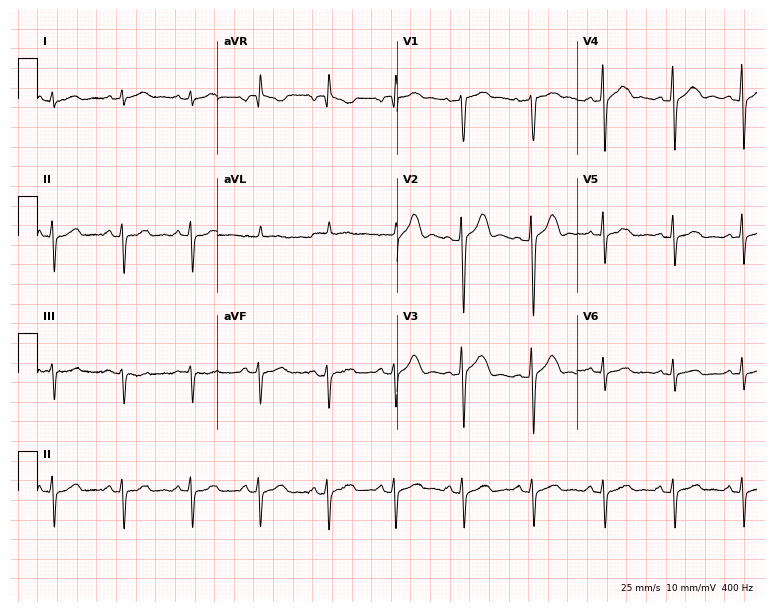
Electrocardiogram (7.3-second recording at 400 Hz), a 66-year-old man. Of the six screened findings (first-degree AV block, right bundle branch block, left bundle branch block, sinus bradycardia, atrial fibrillation, sinus tachycardia), none is recorded.